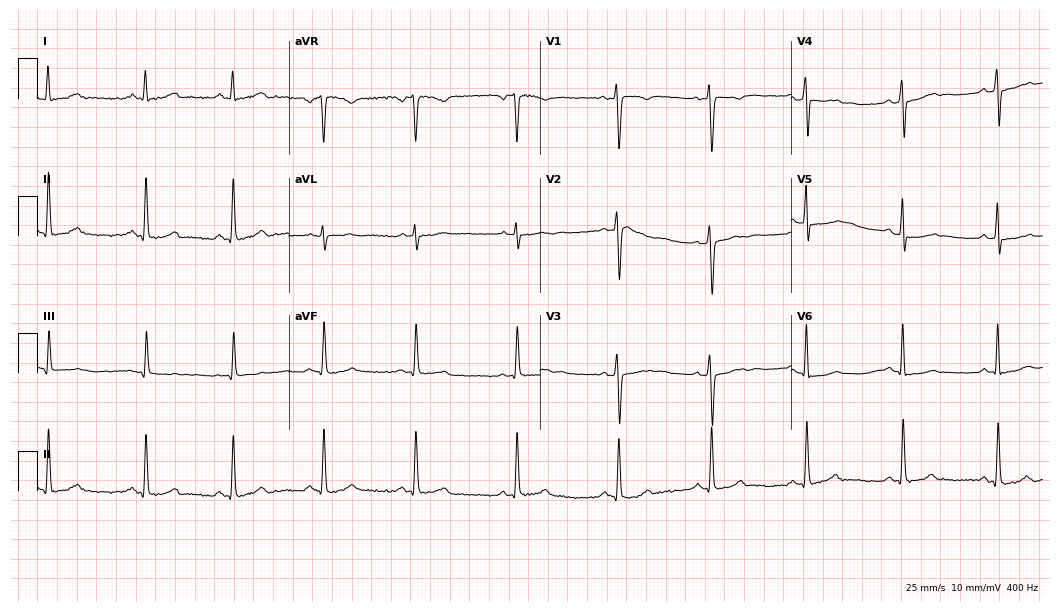
ECG — a 22-year-old woman. Screened for six findings — first-degree AV block, right bundle branch block, left bundle branch block, sinus bradycardia, atrial fibrillation, sinus tachycardia — none is recorded.